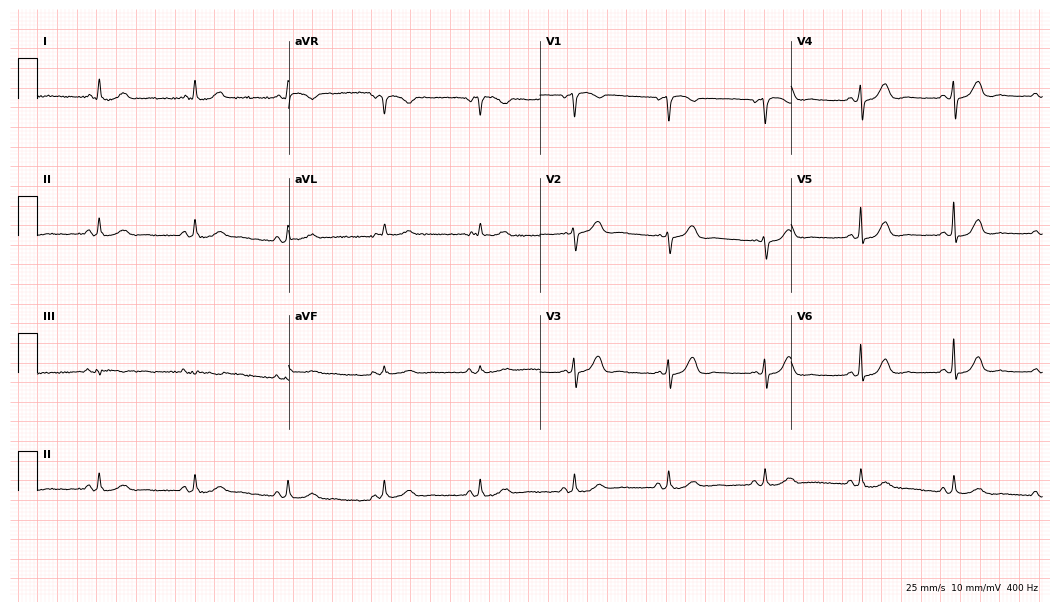
ECG (10.2-second recording at 400 Hz) — a female patient, 66 years old. Screened for six findings — first-degree AV block, right bundle branch block, left bundle branch block, sinus bradycardia, atrial fibrillation, sinus tachycardia — none is recorded. Findings outside these six are not listed.